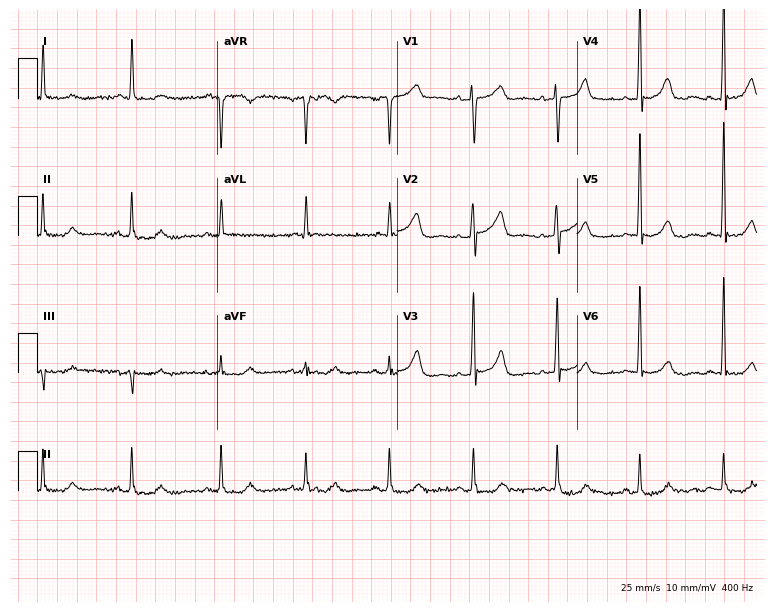
ECG — a 63-year-old woman. Screened for six findings — first-degree AV block, right bundle branch block (RBBB), left bundle branch block (LBBB), sinus bradycardia, atrial fibrillation (AF), sinus tachycardia — none is recorded. Only these six findings were labelled.